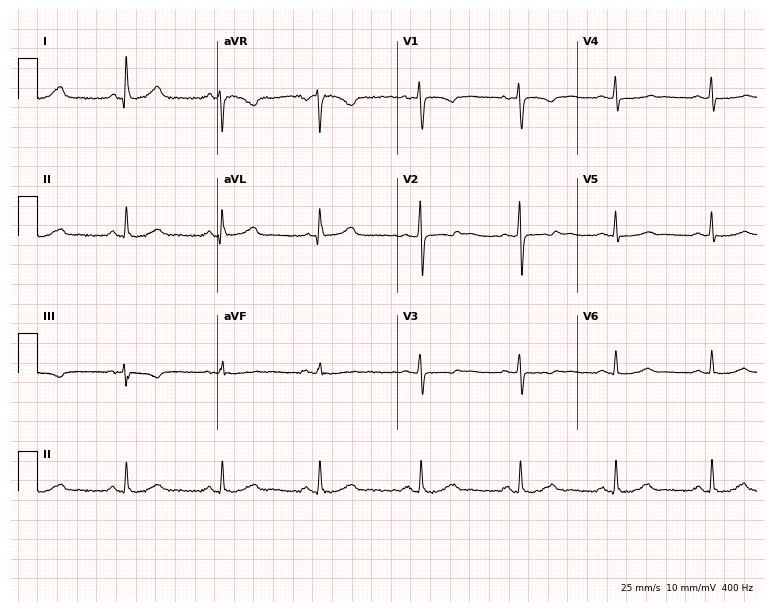
Electrocardiogram (7.3-second recording at 400 Hz), a female, 31 years old. Of the six screened findings (first-degree AV block, right bundle branch block, left bundle branch block, sinus bradycardia, atrial fibrillation, sinus tachycardia), none is recorded.